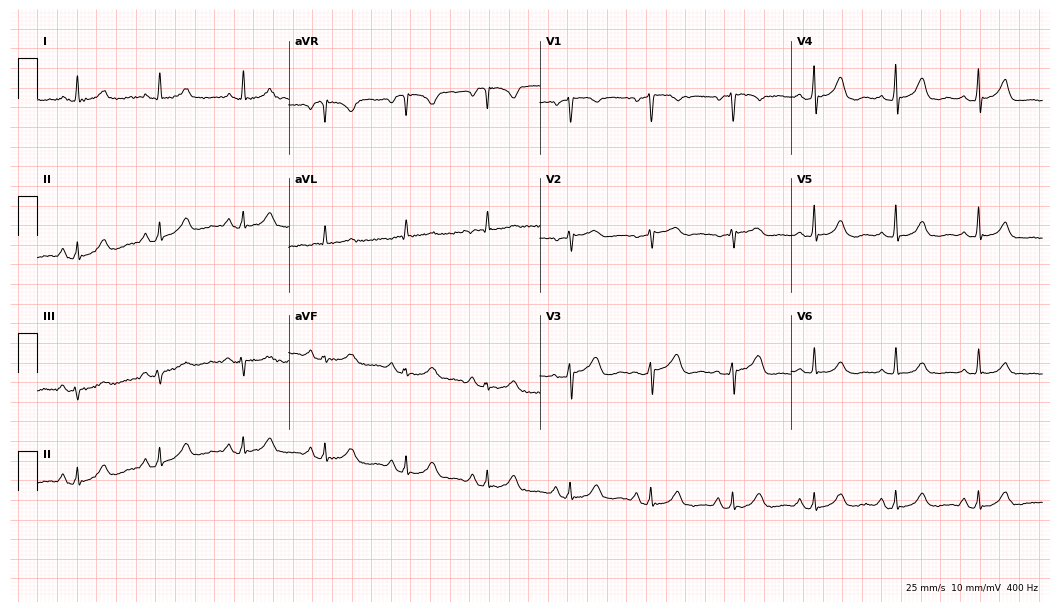
Resting 12-lead electrocardiogram (10.2-second recording at 400 Hz). Patient: a 54-year-old woman. Read as a normal ECG.